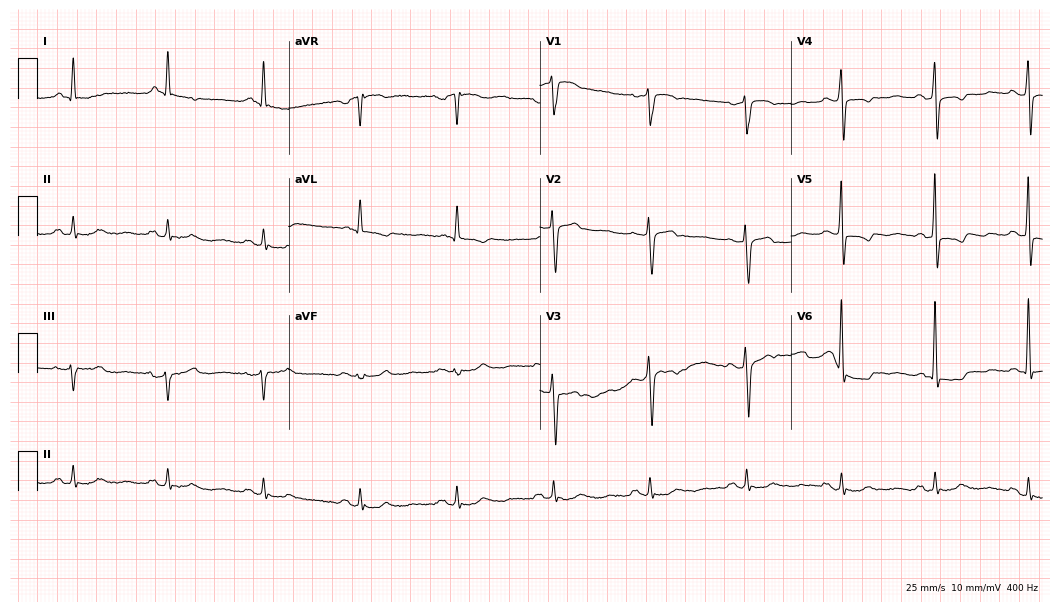
12-lead ECG from a 66-year-old male patient. Screened for six findings — first-degree AV block, right bundle branch block, left bundle branch block, sinus bradycardia, atrial fibrillation, sinus tachycardia — none is recorded.